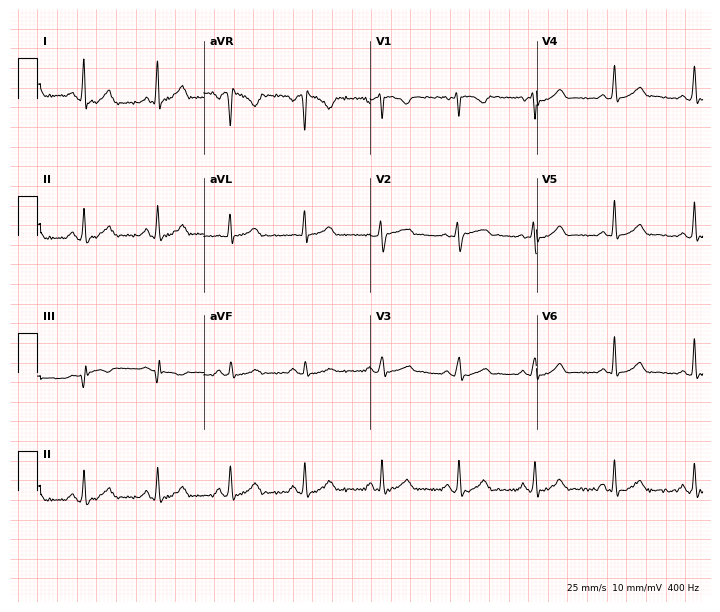
Standard 12-lead ECG recorded from a female patient, 30 years old. None of these six findings is recorded: first-degree AV block, right bundle branch block, left bundle branch block, sinus bradycardia, atrial fibrillation, sinus tachycardia.